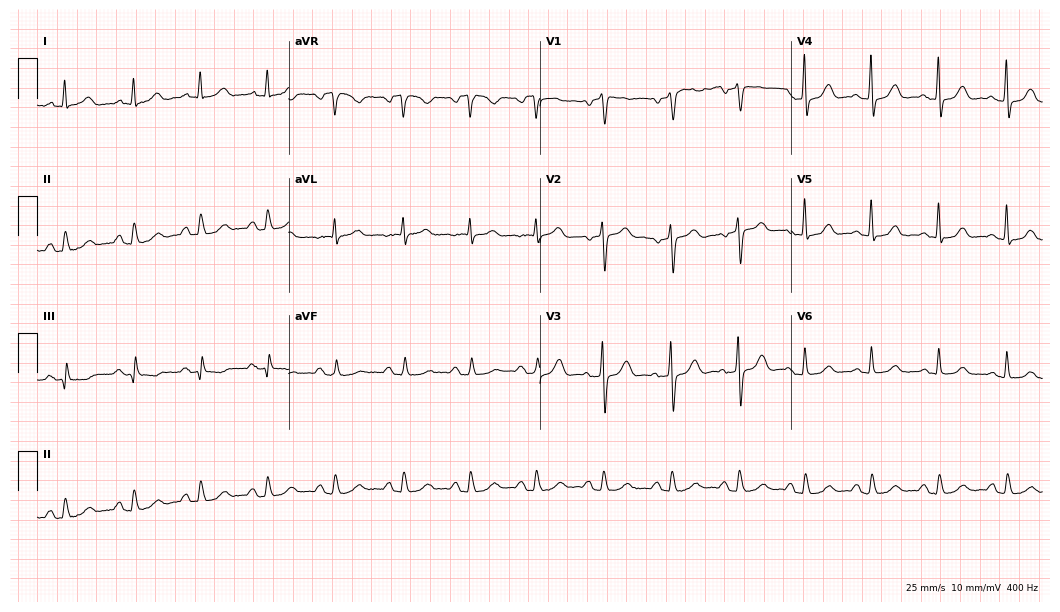
12-lead ECG from a female, 77 years old. Labelled as a normal ECG.